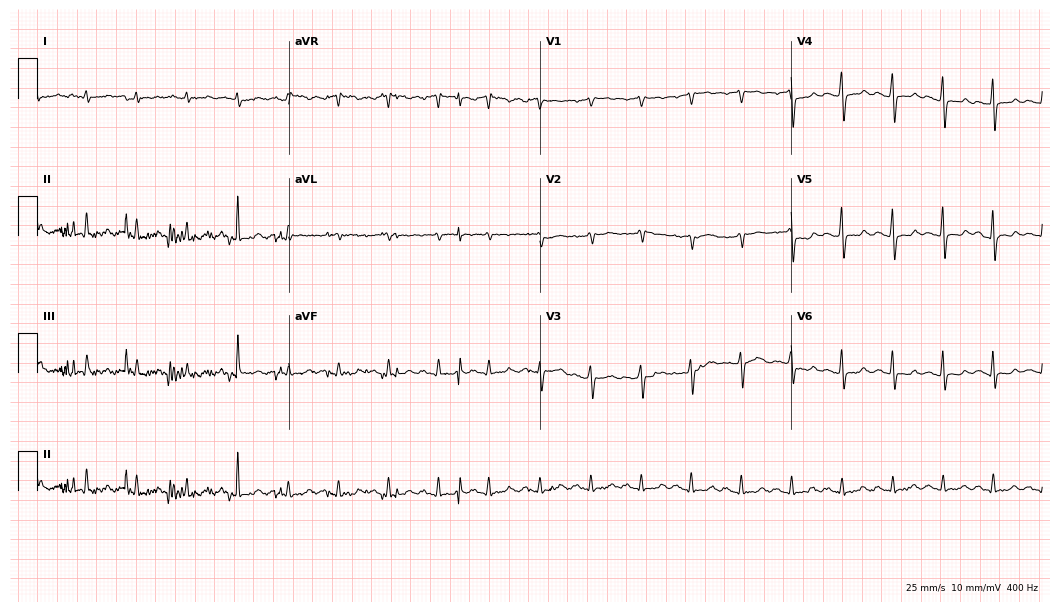
Standard 12-lead ECG recorded from a male, 62 years old. The tracing shows sinus tachycardia (a sinus rate of 100 beats per minute or more).